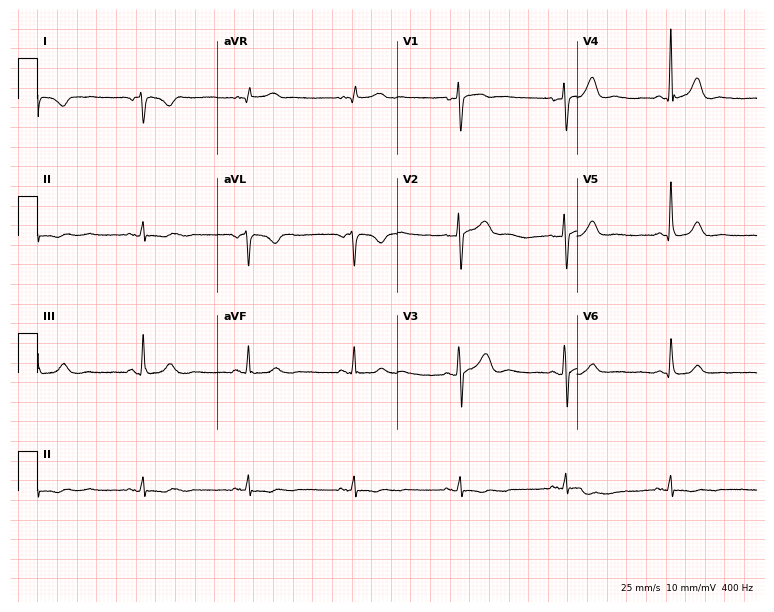
12-lead ECG from a 59-year-old female. Screened for six findings — first-degree AV block, right bundle branch block (RBBB), left bundle branch block (LBBB), sinus bradycardia, atrial fibrillation (AF), sinus tachycardia — none is recorded. Findings outside these six are not listed.